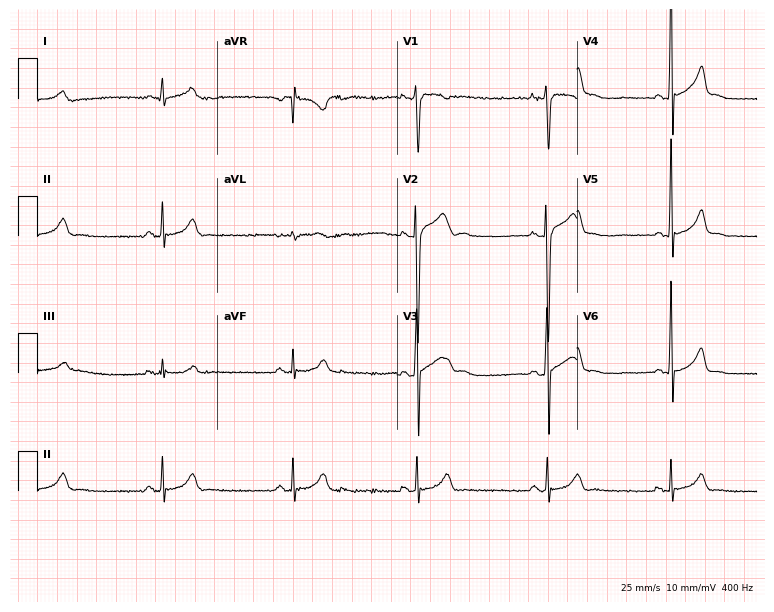
Resting 12-lead electrocardiogram. Patient: a male, 18 years old. The tracing shows sinus bradycardia (a sinus rate of 50 beats per minute or less).